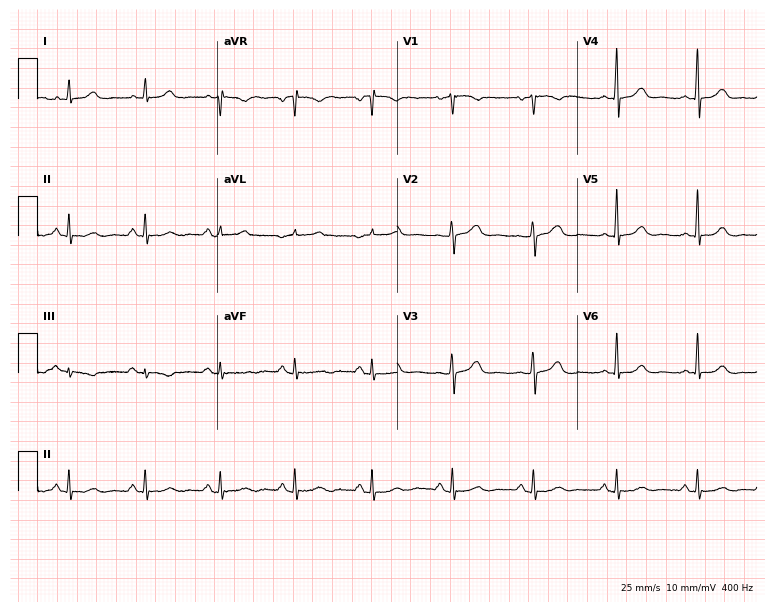
ECG (7.3-second recording at 400 Hz) — a 52-year-old female. Screened for six findings — first-degree AV block, right bundle branch block (RBBB), left bundle branch block (LBBB), sinus bradycardia, atrial fibrillation (AF), sinus tachycardia — none is recorded. Only these six findings were labelled.